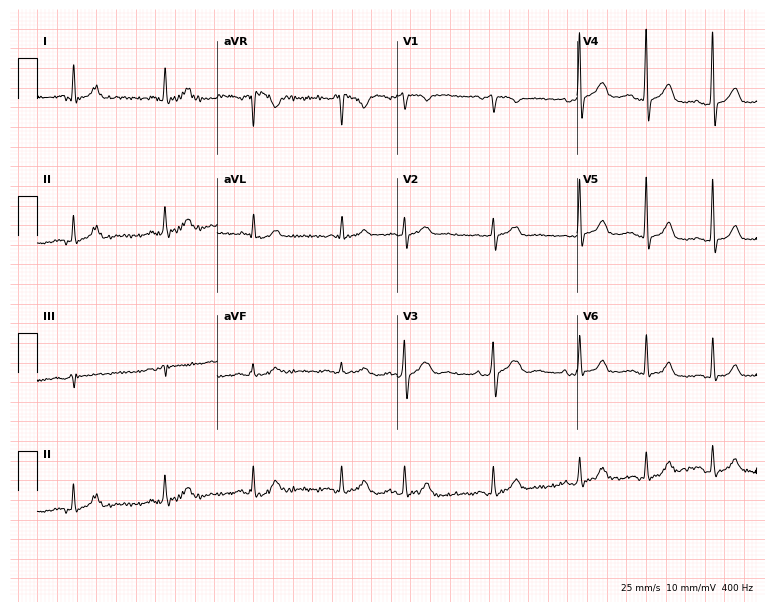
Electrocardiogram, a 63-year-old woman. Of the six screened findings (first-degree AV block, right bundle branch block, left bundle branch block, sinus bradycardia, atrial fibrillation, sinus tachycardia), none is recorded. Only these six findings were labelled.